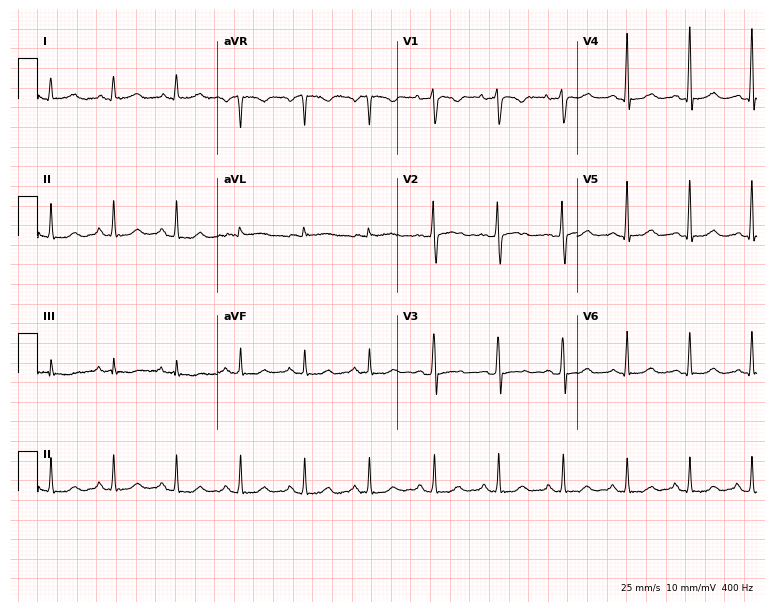
Electrocardiogram (7.3-second recording at 400 Hz), a 45-year-old female. Of the six screened findings (first-degree AV block, right bundle branch block, left bundle branch block, sinus bradycardia, atrial fibrillation, sinus tachycardia), none is recorded. Findings outside these six are not listed.